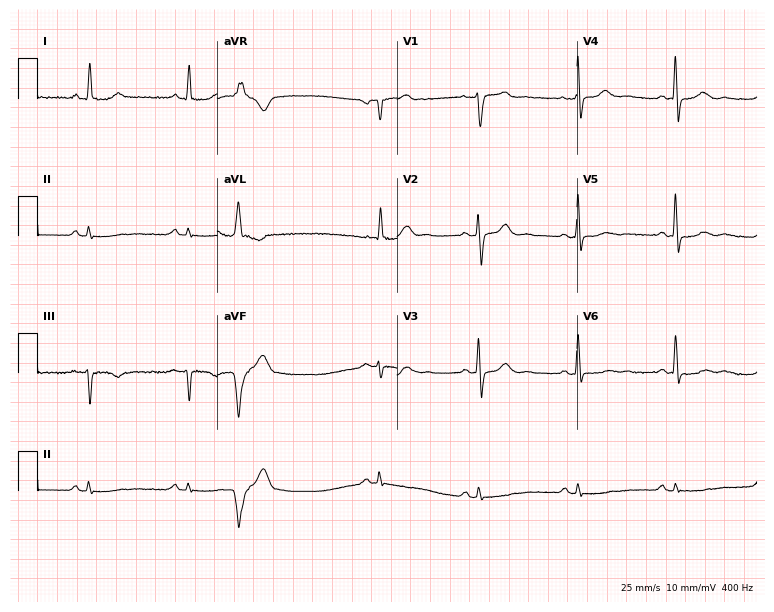
12-lead ECG from a male patient, 66 years old (7.3-second recording at 400 Hz). No first-degree AV block, right bundle branch block, left bundle branch block, sinus bradycardia, atrial fibrillation or sinus tachycardia recorded for this tracing.